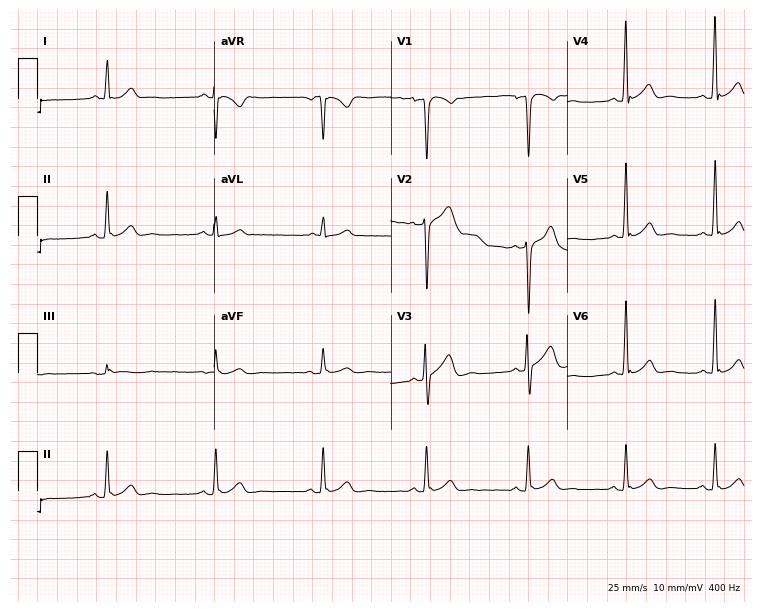
12-lead ECG from a 40-year-old male patient. Recorded interpretation: within normal limits.